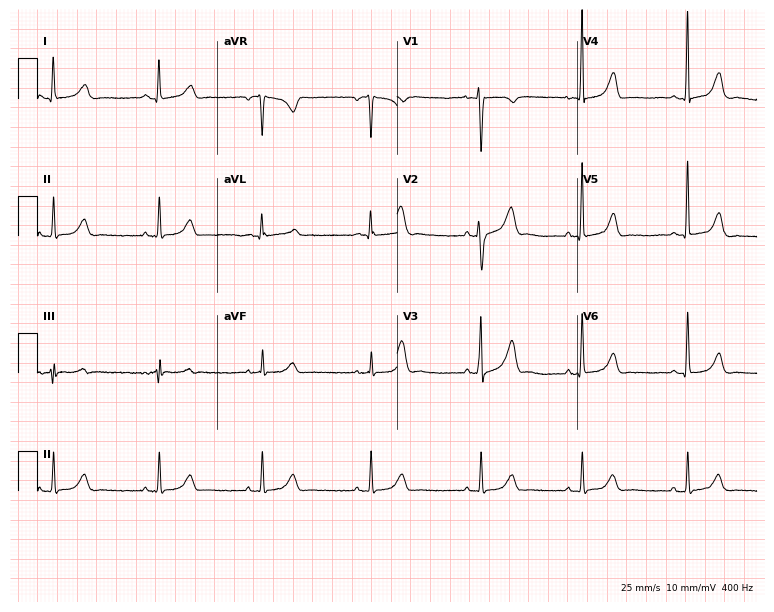
ECG — a woman, 50 years old. Labelled as a normal ECG.